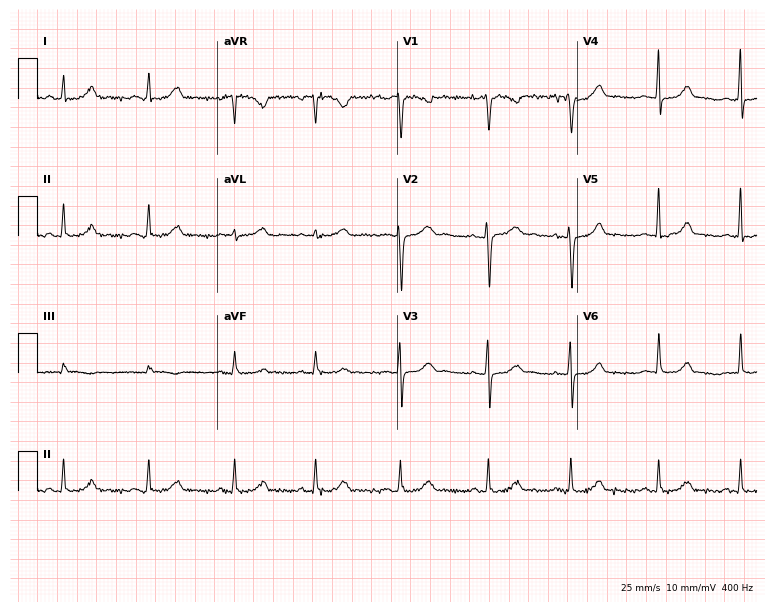
Standard 12-lead ECG recorded from a 26-year-old female patient. Read as a normal ECG.